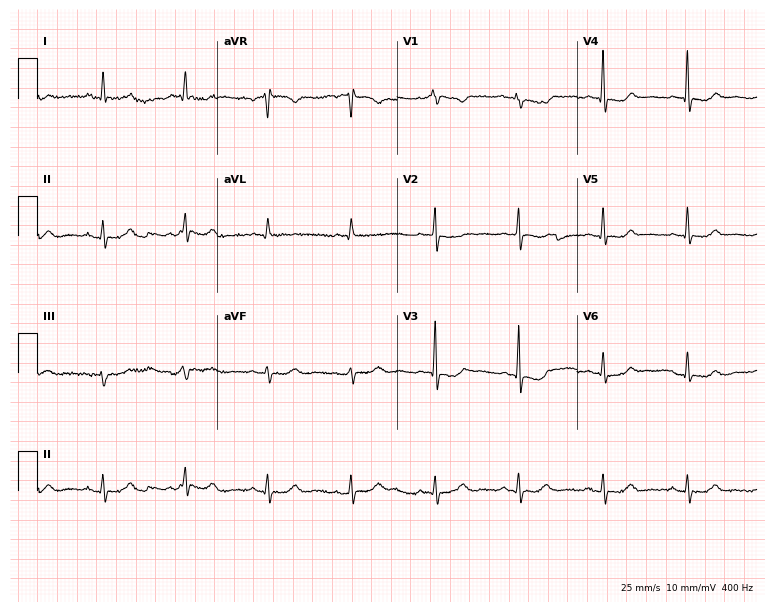
Electrocardiogram, a female, 70 years old. Overall reading on record: normal ECG.